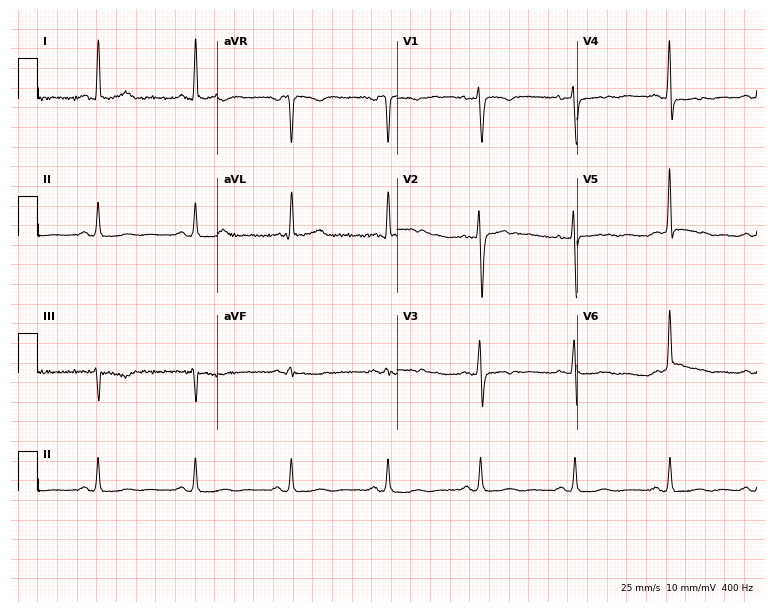
ECG — a female patient, 62 years old. Screened for six findings — first-degree AV block, right bundle branch block, left bundle branch block, sinus bradycardia, atrial fibrillation, sinus tachycardia — none is recorded.